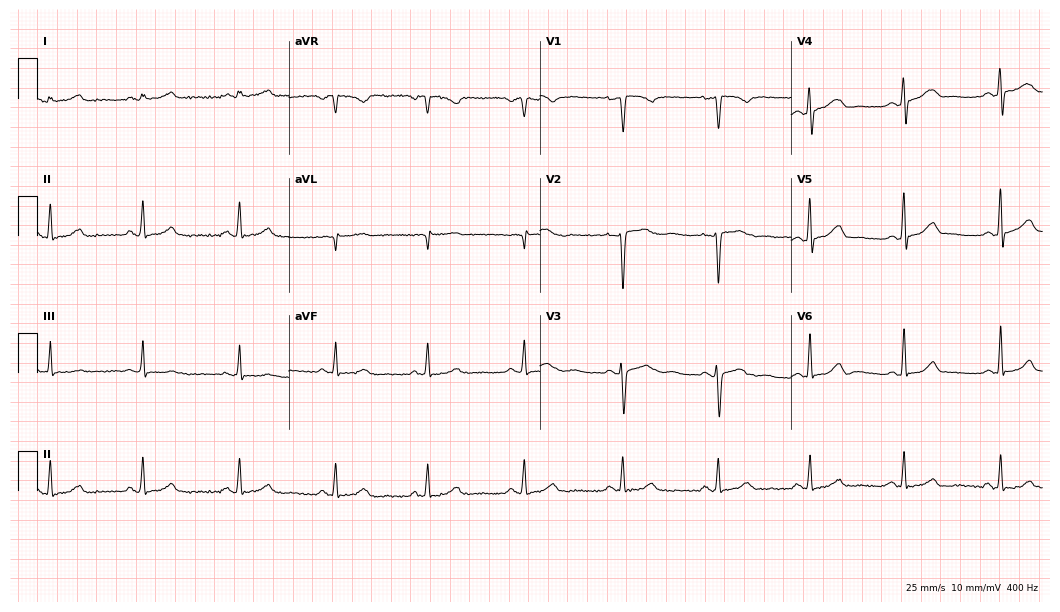
Standard 12-lead ECG recorded from a woman, 30 years old (10.2-second recording at 400 Hz). None of these six findings is recorded: first-degree AV block, right bundle branch block, left bundle branch block, sinus bradycardia, atrial fibrillation, sinus tachycardia.